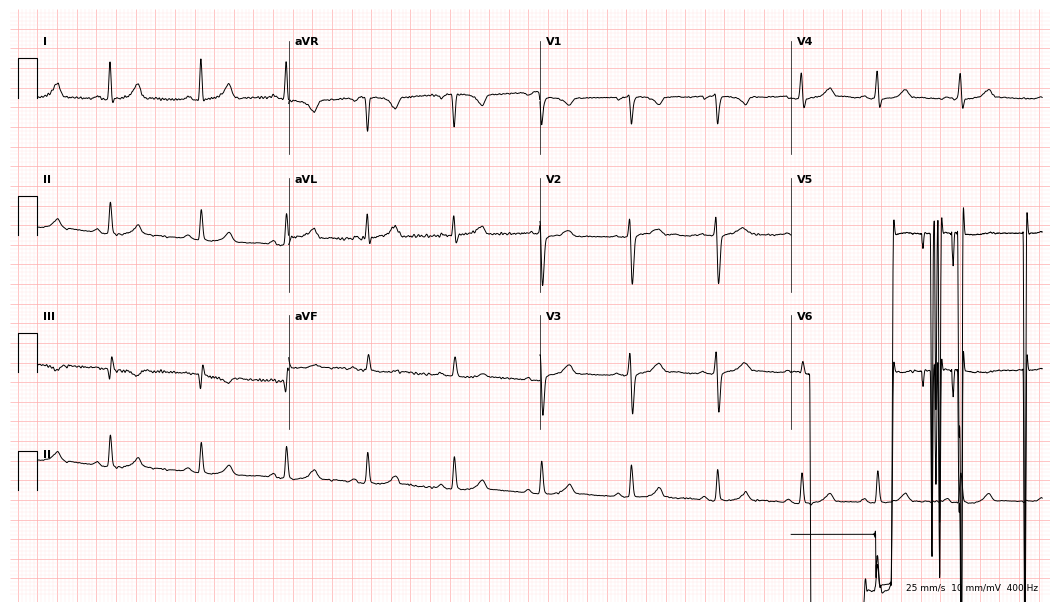
Standard 12-lead ECG recorded from a 26-year-old woman. None of these six findings is recorded: first-degree AV block, right bundle branch block (RBBB), left bundle branch block (LBBB), sinus bradycardia, atrial fibrillation (AF), sinus tachycardia. Only these six findings were labelled.